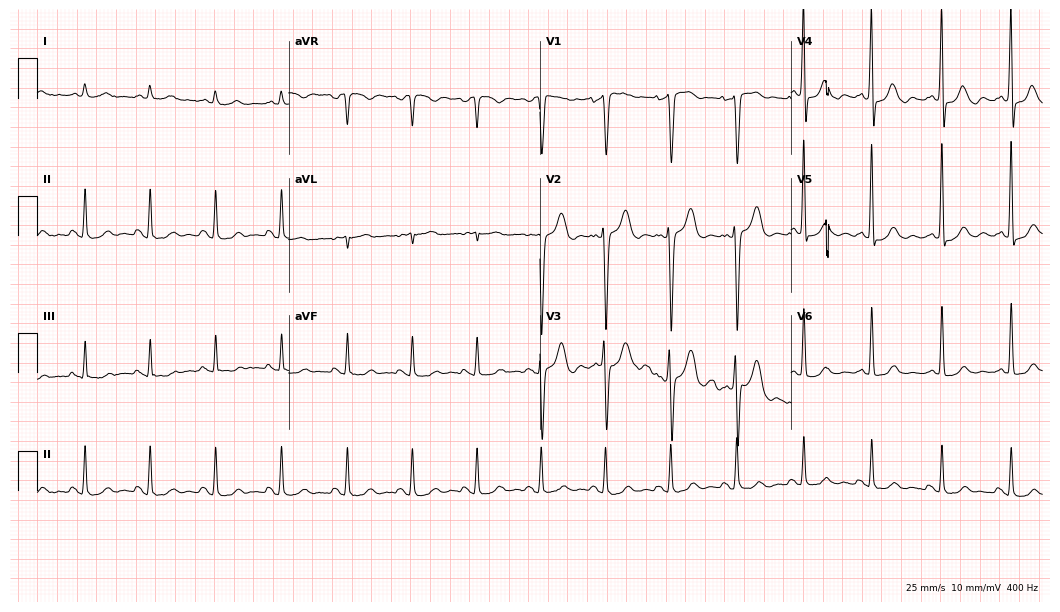
12-lead ECG from a 66-year-old male (10.2-second recording at 400 Hz). Recorded interpretation: within normal limits.